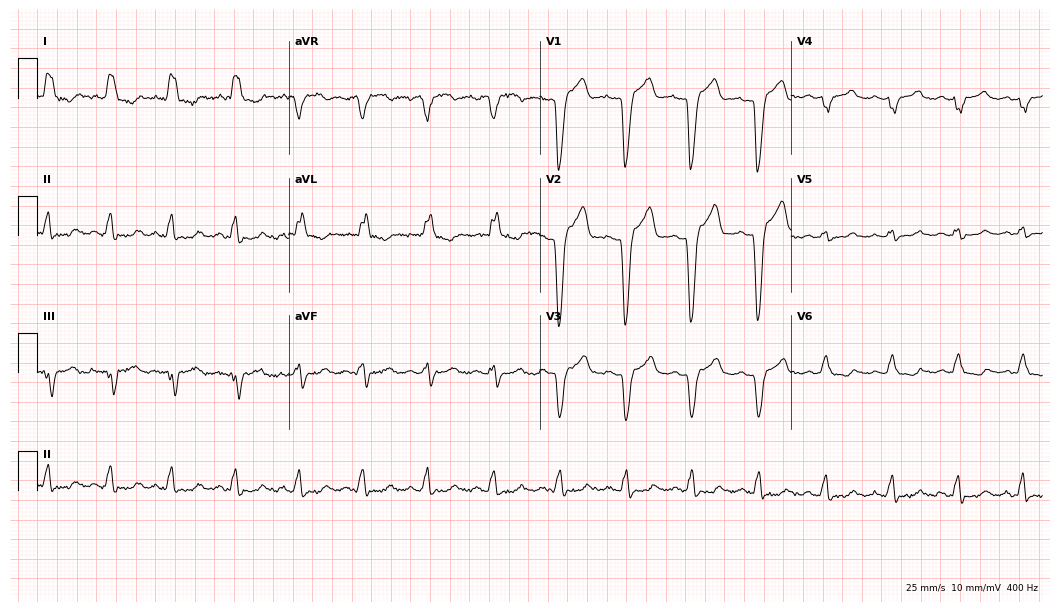
12-lead ECG from a female patient, 52 years old. Findings include left bundle branch block.